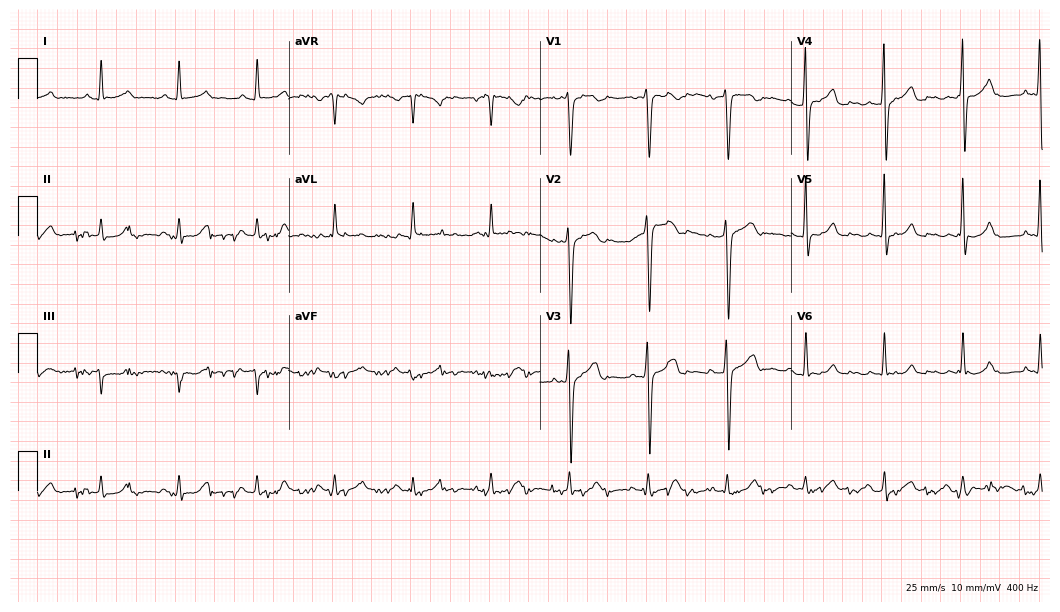
Resting 12-lead electrocardiogram (10.2-second recording at 400 Hz). Patient: a male, 57 years old. Read as a normal ECG.